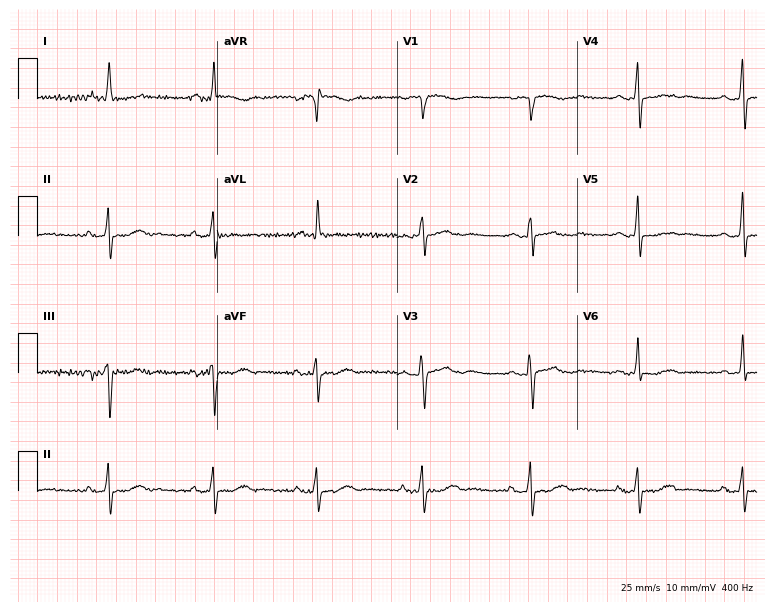
12-lead ECG (7.3-second recording at 400 Hz) from a 74-year-old woman. Screened for six findings — first-degree AV block, right bundle branch block, left bundle branch block, sinus bradycardia, atrial fibrillation, sinus tachycardia — none is recorded.